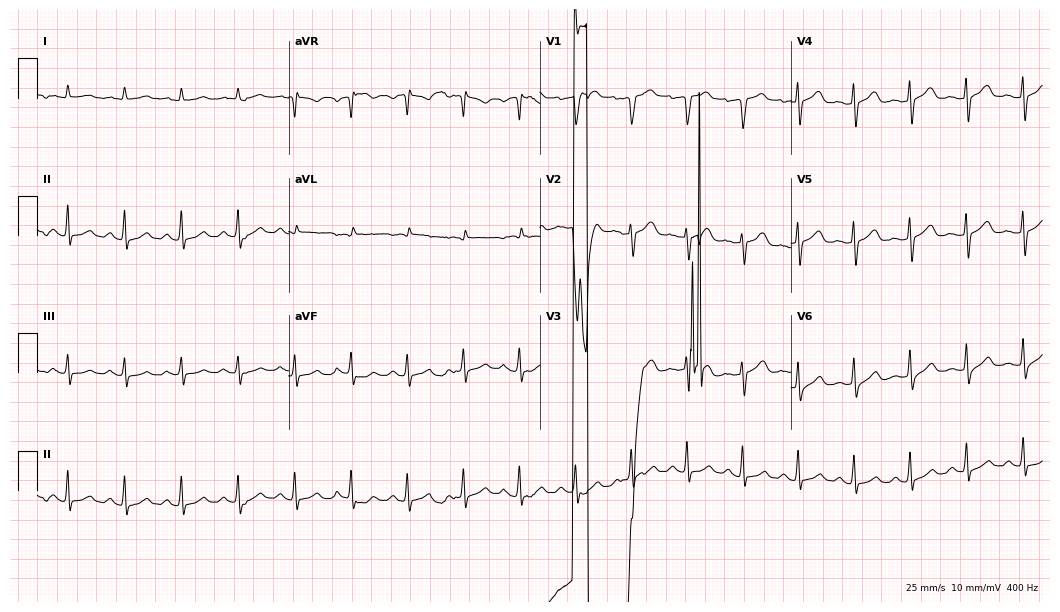
Standard 12-lead ECG recorded from a female, 59 years old. None of these six findings is recorded: first-degree AV block, right bundle branch block, left bundle branch block, sinus bradycardia, atrial fibrillation, sinus tachycardia. Only these six findings were labelled.